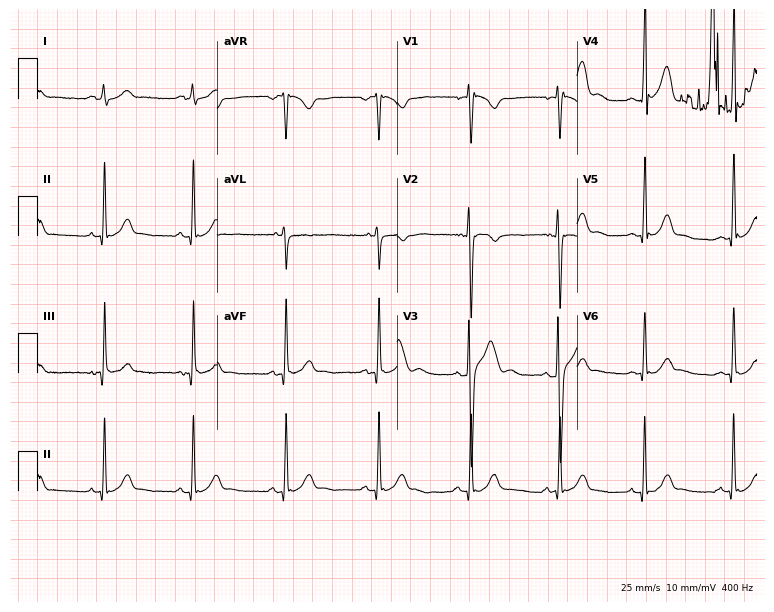
Electrocardiogram, a male, 23 years old. Overall reading on record: normal ECG.